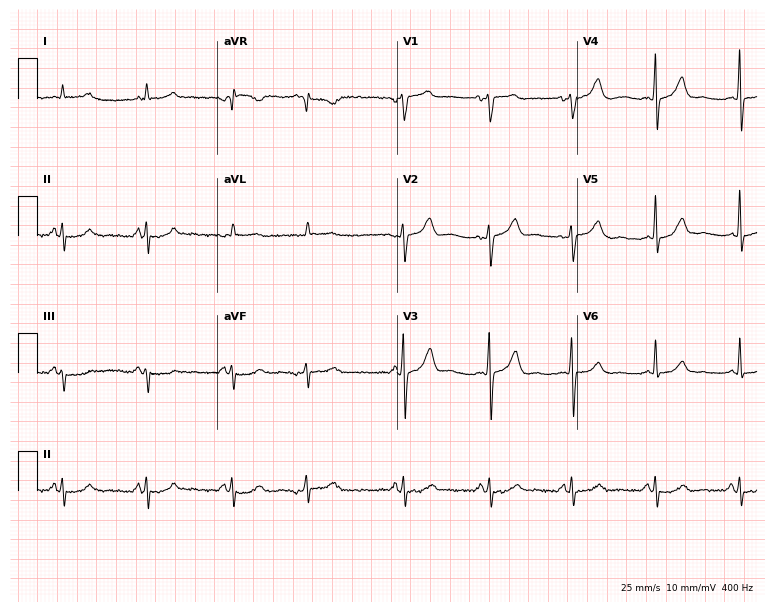
Electrocardiogram, a male, 53 years old. Of the six screened findings (first-degree AV block, right bundle branch block, left bundle branch block, sinus bradycardia, atrial fibrillation, sinus tachycardia), none is recorded. Only these six findings were labelled.